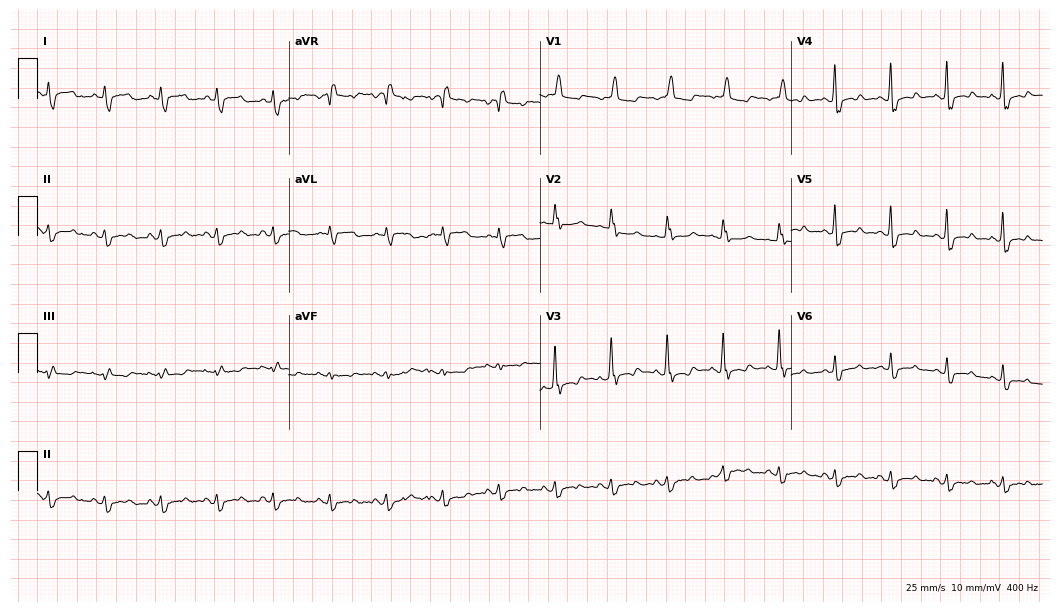
12-lead ECG from a male patient, 61 years old. Shows sinus tachycardia (a sinus rate of 100 beats per minute or more).